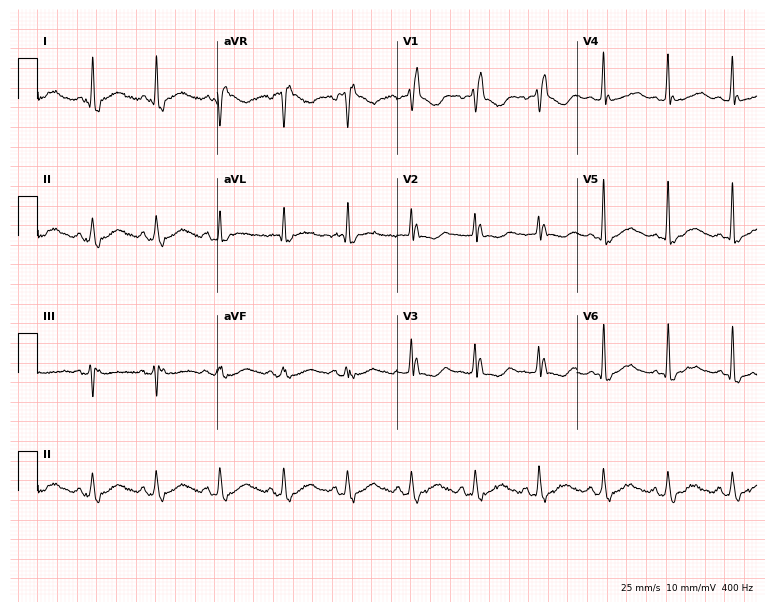
12-lead ECG from an 81-year-old female patient. Findings include right bundle branch block (RBBB).